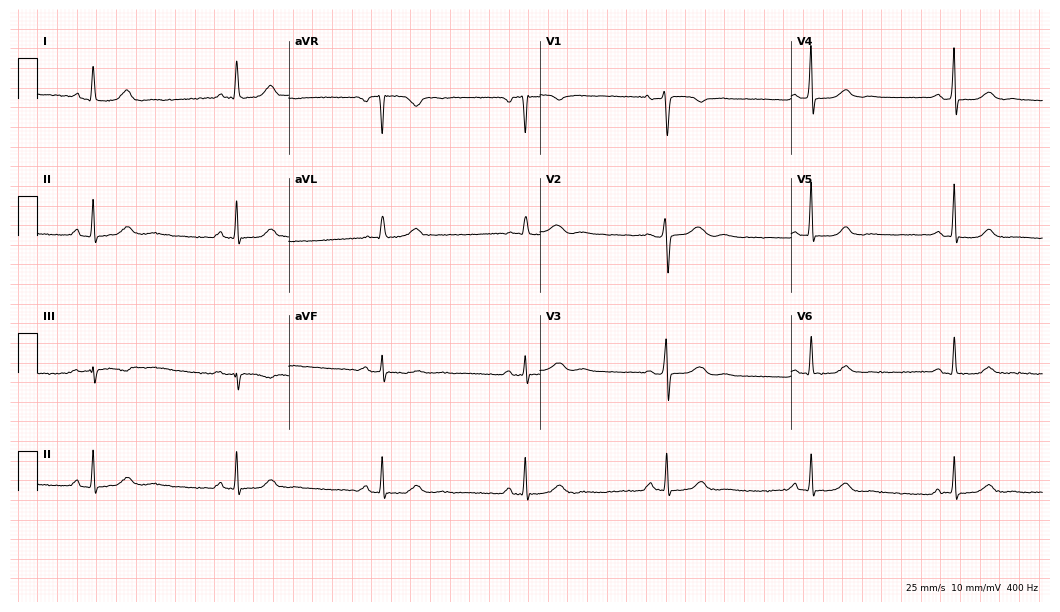
ECG (10.2-second recording at 400 Hz) — a woman, 58 years old. Findings include sinus bradycardia (a sinus rate of 50 beats per minute or less).